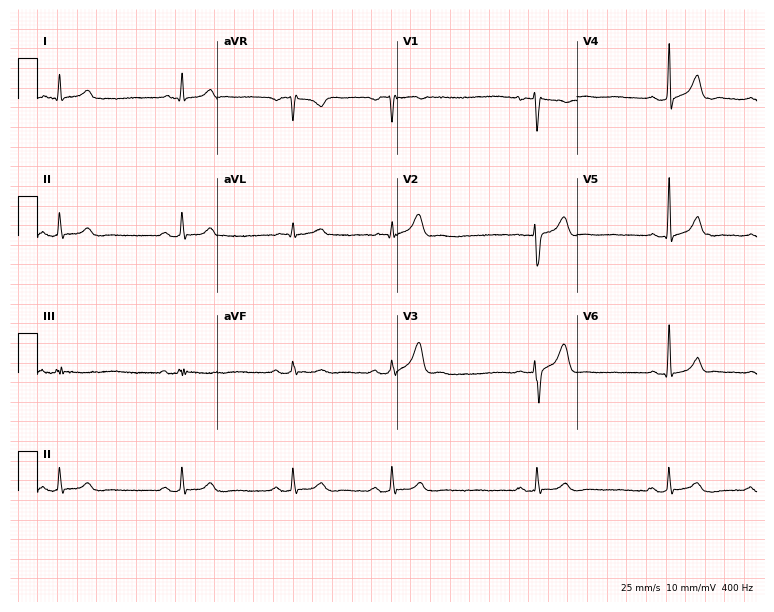
Electrocardiogram (7.3-second recording at 400 Hz), a man, 34 years old. Of the six screened findings (first-degree AV block, right bundle branch block, left bundle branch block, sinus bradycardia, atrial fibrillation, sinus tachycardia), none is recorded. Only these six findings were labelled.